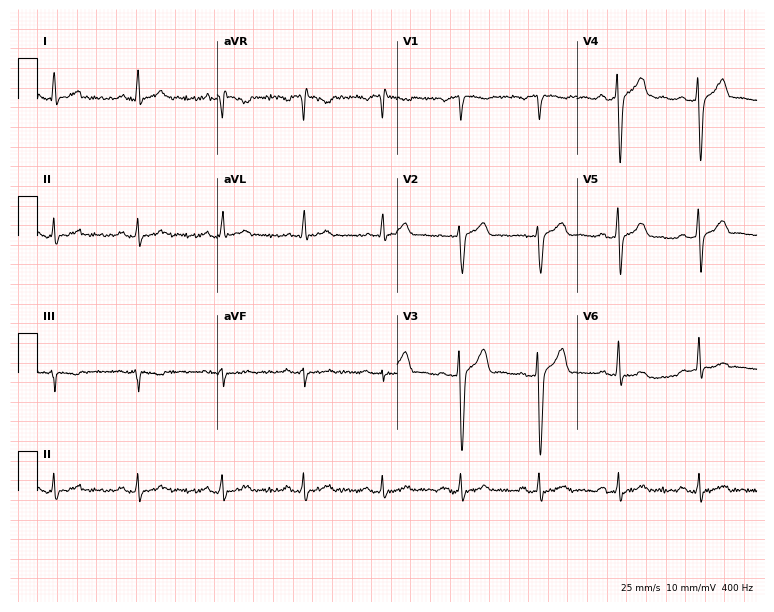
Standard 12-lead ECG recorded from a man, 48 years old (7.3-second recording at 400 Hz). None of these six findings is recorded: first-degree AV block, right bundle branch block, left bundle branch block, sinus bradycardia, atrial fibrillation, sinus tachycardia.